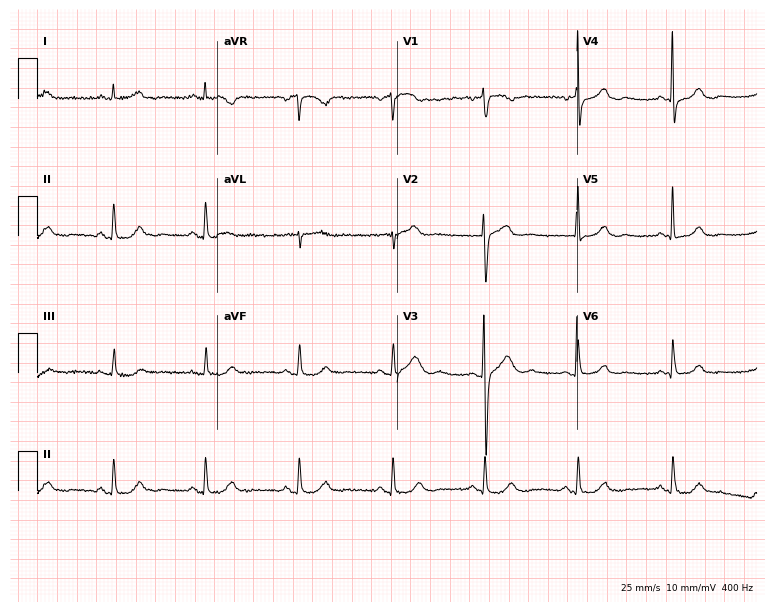
ECG (7.3-second recording at 400 Hz) — a 56-year-old female. Labelled as a normal ECG.